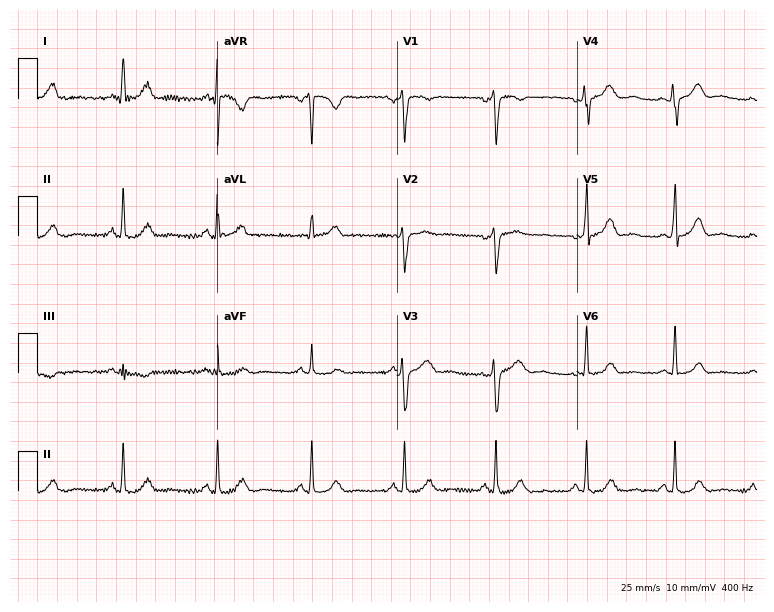
12-lead ECG from a 46-year-old female (7.3-second recording at 400 Hz). Recorded interpretation: within normal limits.